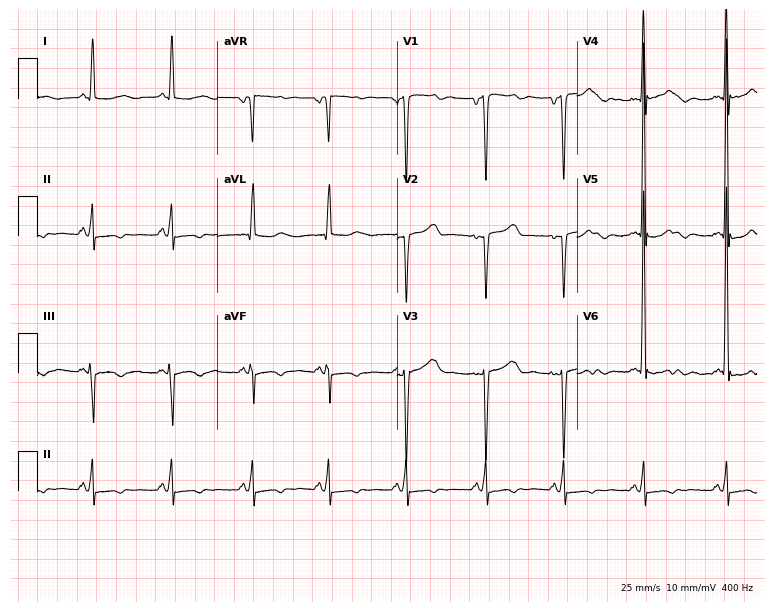
Electrocardiogram, a man, 56 years old. Of the six screened findings (first-degree AV block, right bundle branch block (RBBB), left bundle branch block (LBBB), sinus bradycardia, atrial fibrillation (AF), sinus tachycardia), none is recorded.